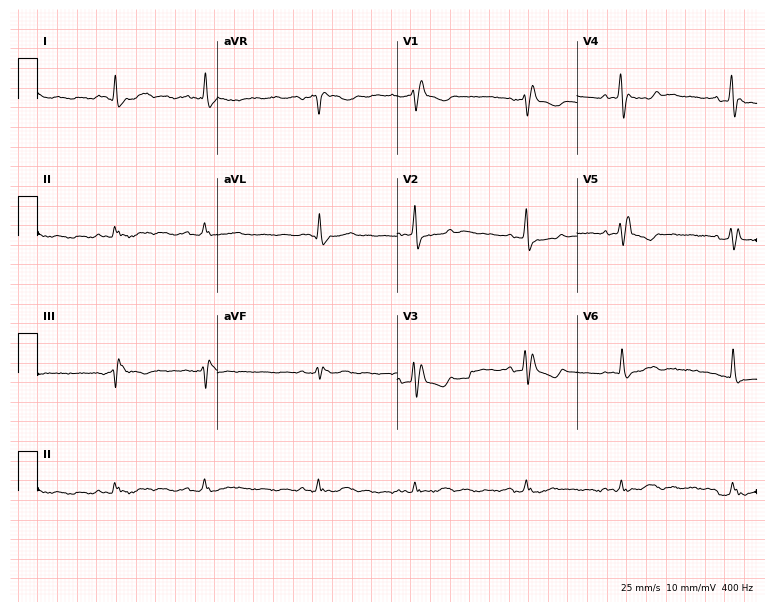
Resting 12-lead electrocardiogram (7.3-second recording at 400 Hz). Patient: a male, 81 years old. None of these six findings is recorded: first-degree AV block, right bundle branch block, left bundle branch block, sinus bradycardia, atrial fibrillation, sinus tachycardia.